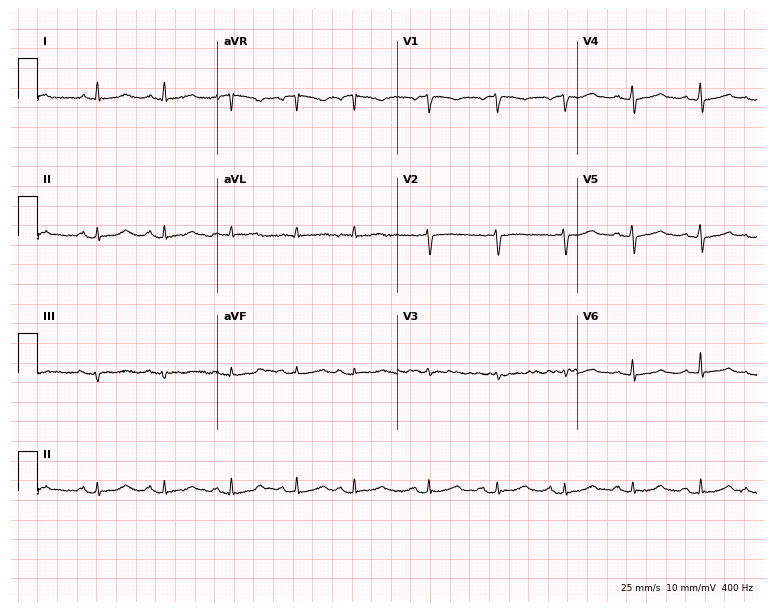
12-lead ECG (7.3-second recording at 400 Hz) from an 85-year-old female patient. Screened for six findings — first-degree AV block, right bundle branch block (RBBB), left bundle branch block (LBBB), sinus bradycardia, atrial fibrillation (AF), sinus tachycardia — none is recorded. Only these six findings were labelled.